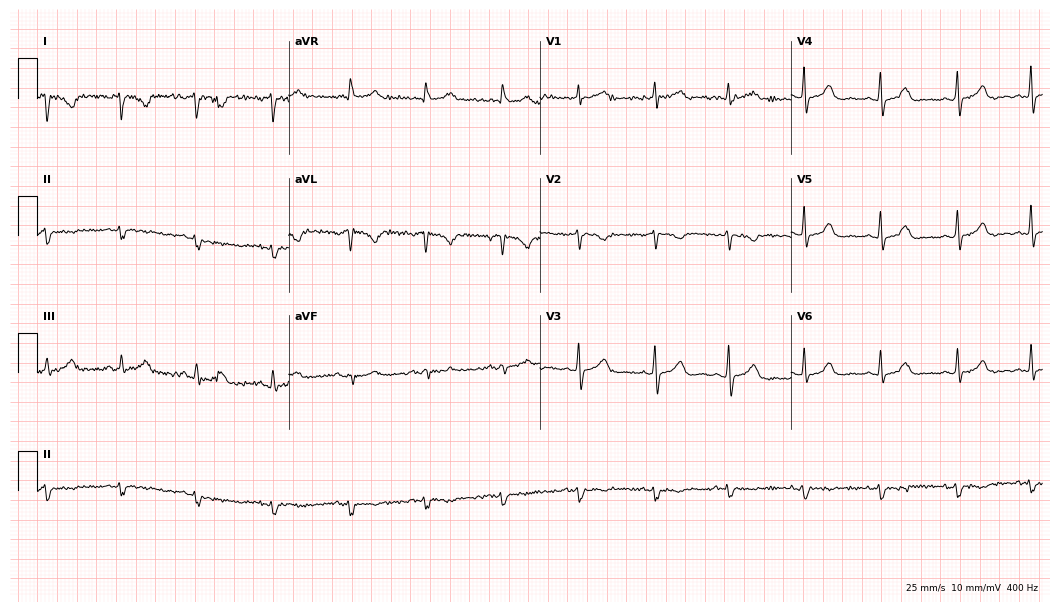
Standard 12-lead ECG recorded from a woman, 49 years old (10.2-second recording at 400 Hz). None of these six findings is recorded: first-degree AV block, right bundle branch block, left bundle branch block, sinus bradycardia, atrial fibrillation, sinus tachycardia.